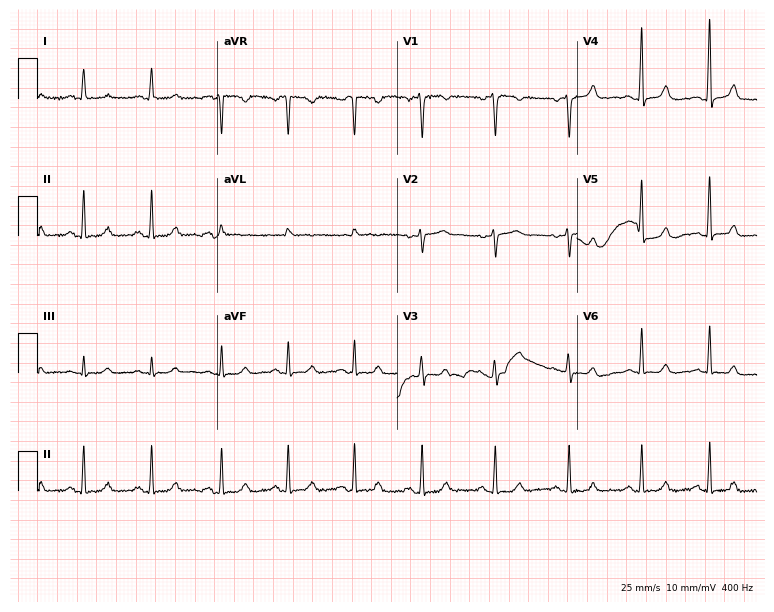
Resting 12-lead electrocardiogram (7.3-second recording at 400 Hz). Patient: a 35-year-old female. Read as a normal ECG.